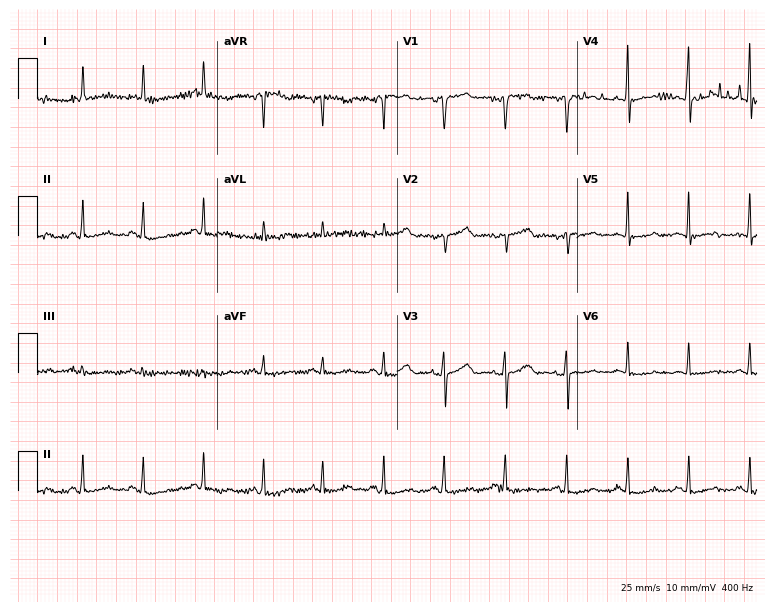
Standard 12-lead ECG recorded from a woman, 68 years old (7.3-second recording at 400 Hz). Read as a normal ECG.